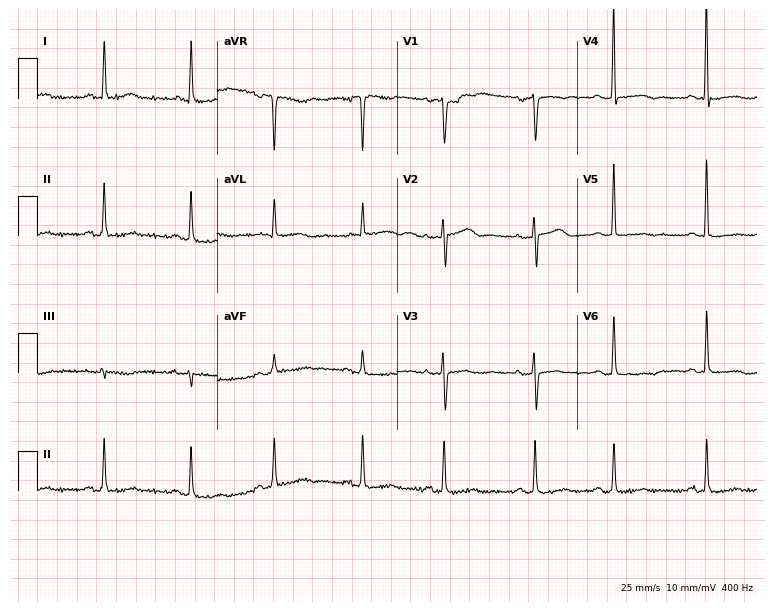
12-lead ECG (7.3-second recording at 400 Hz) from a female, 83 years old. Screened for six findings — first-degree AV block, right bundle branch block (RBBB), left bundle branch block (LBBB), sinus bradycardia, atrial fibrillation (AF), sinus tachycardia — none is recorded.